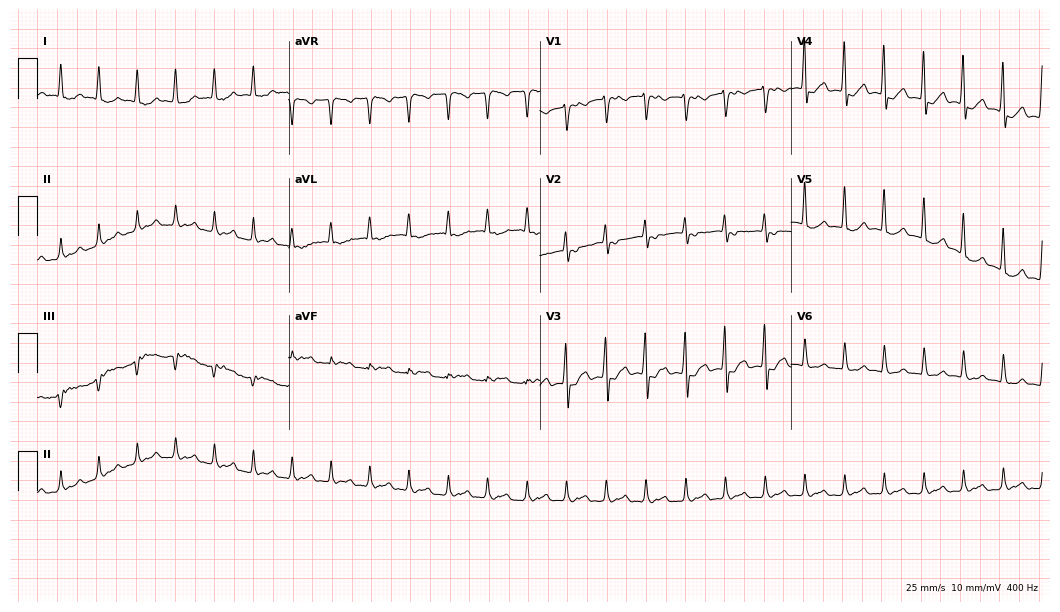
12-lead ECG from a male patient, 76 years old. Shows sinus tachycardia (a sinus rate of 100 beats per minute or more).